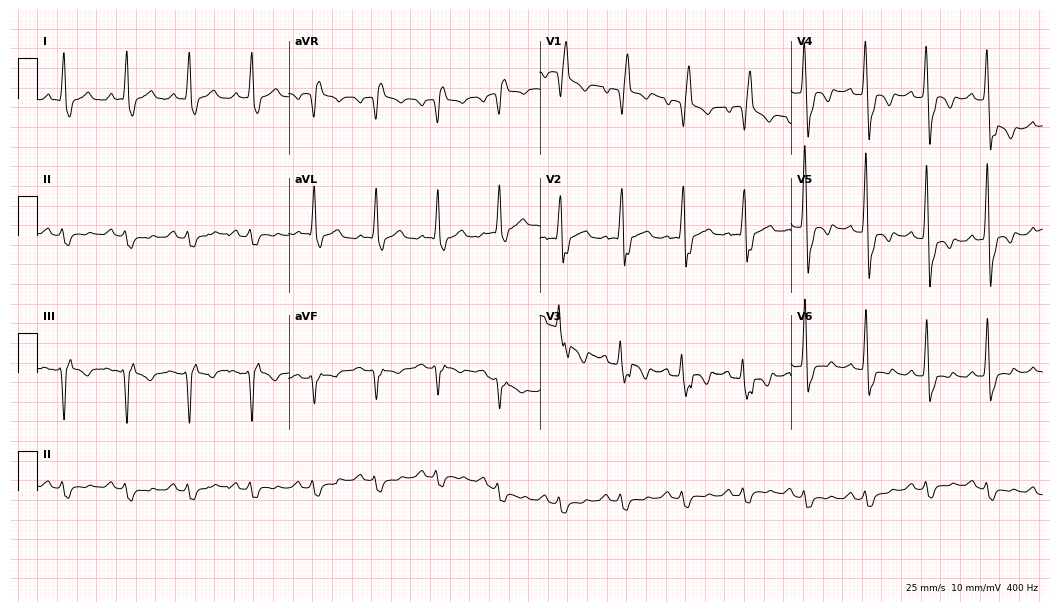
12-lead ECG (10.2-second recording at 400 Hz) from a male patient, 80 years old. Findings include right bundle branch block.